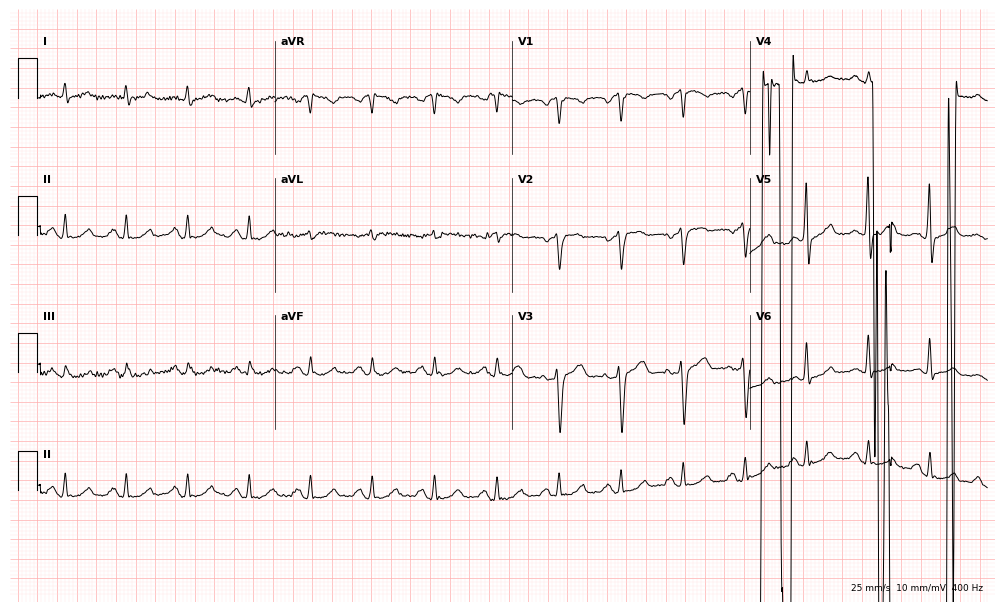
ECG — a 64-year-old male patient. Screened for six findings — first-degree AV block, right bundle branch block (RBBB), left bundle branch block (LBBB), sinus bradycardia, atrial fibrillation (AF), sinus tachycardia — none is recorded.